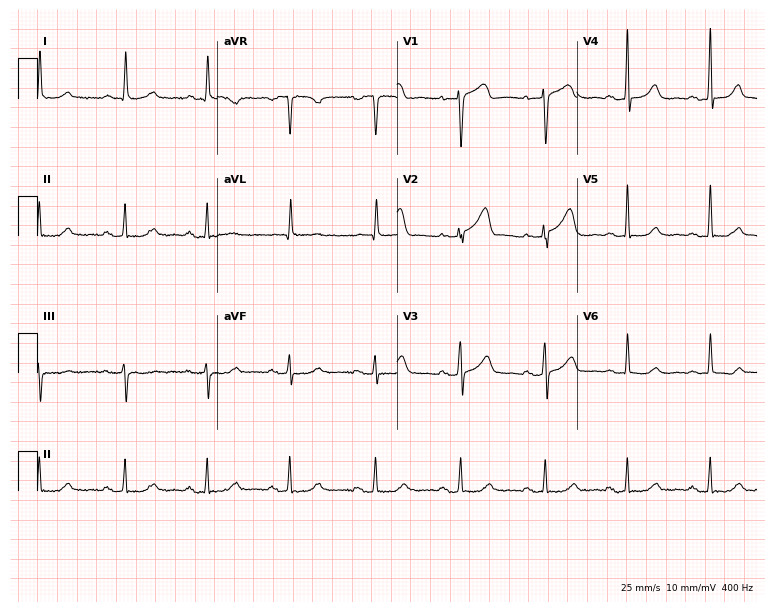
Electrocardiogram, a 59-year-old woman. Overall reading on record: normal ECG.